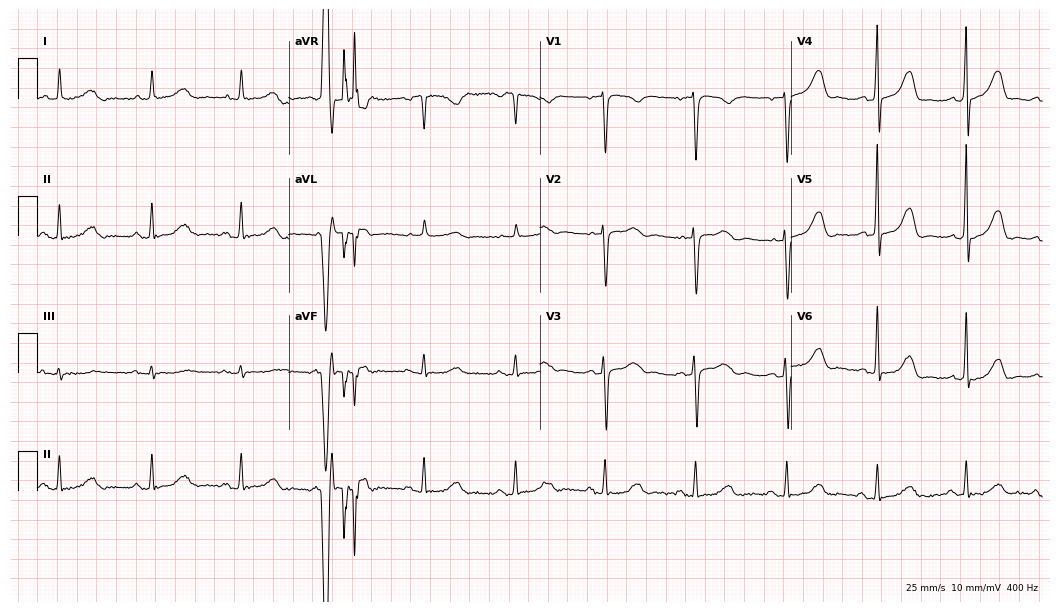
Electrocardiogram, a 52-year-old woman. Overall reading on record: normal ECG.